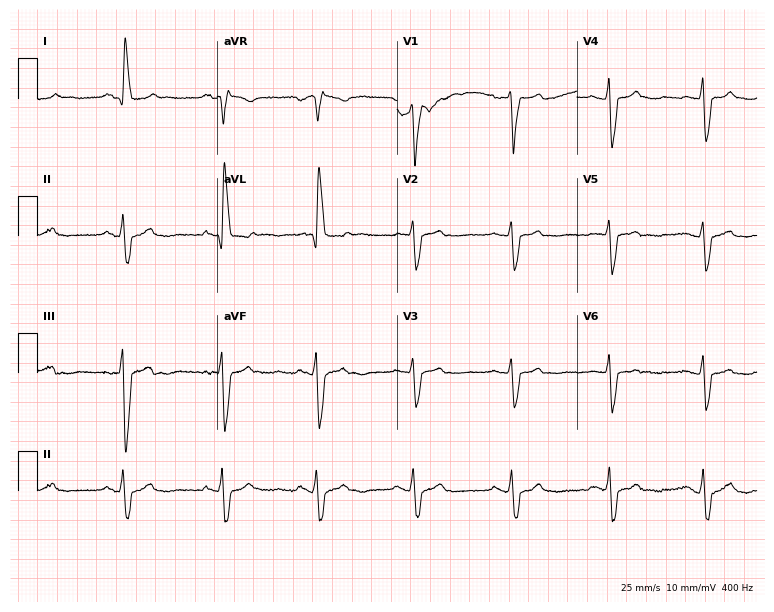
Standard 12-lead ECG recorded from a woman, 68 years old (7.3-second recording at 400 Hz). None of these six findings is recorded: first-degree AV block, right bundle branch block, left bundle branch block, sinus bradycardia, atrial fibrillation, sinus tachycardia. Other findings, if any, are not listed.